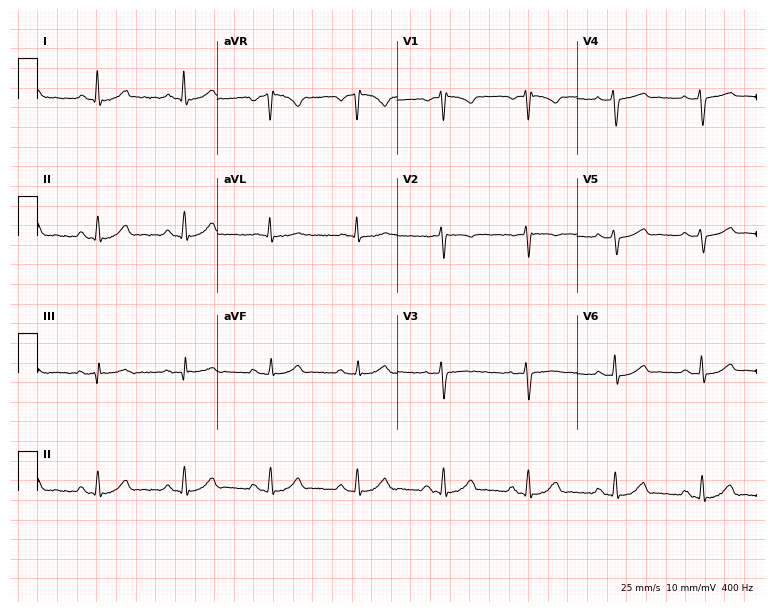
12-lead ECG from a 62-year-old female. No first-degree AV block, right bundle branch block, left bundle branch block, sinus bradycardia, atrial fibrillation or sinus tachycardia recorded for this tracing. Other findings, if any, are not listed.